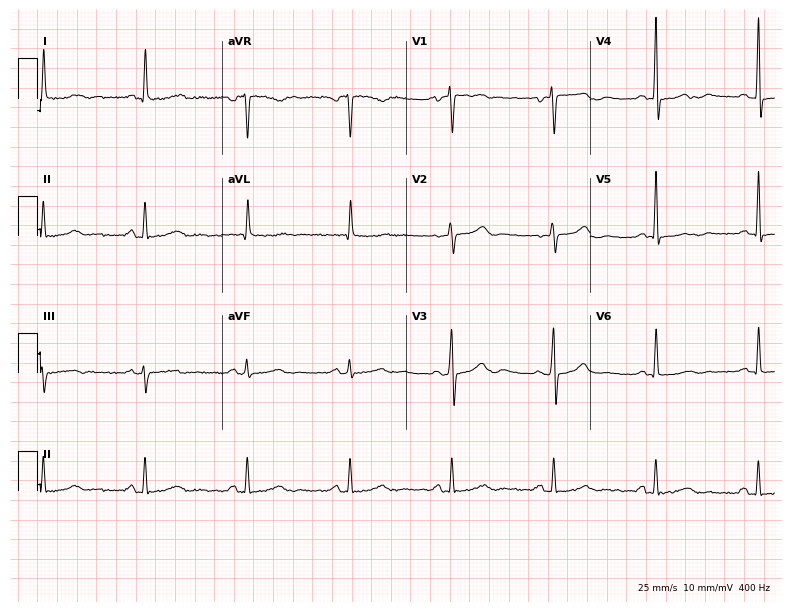
Standard 12-lead ECG recorded from a 74-year-old female patient. None of these six findings is recorded: first-degree AV block, right bundle branch block, left bundle branch block, sinus bradycardia, atrial fibrillation, sinus tachycardia. Findings outside these six are not listed.